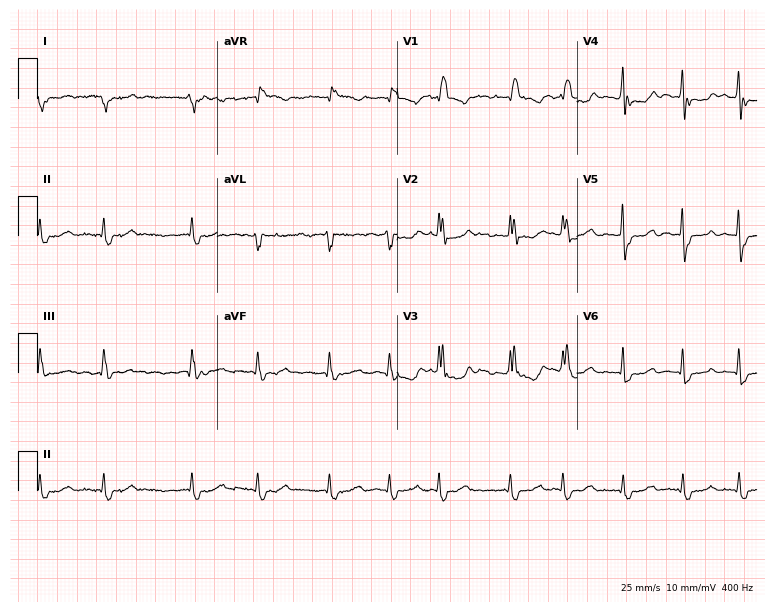
Resting 12-lead electrocardiogram. Patient: a 78-year-old female. None of these six findings is recorded: first-degree AV block, right bundle branch block, left bundle branch block, sinus bradycardia, atrial fibrillation, sinus tachycardia. Findings outside these six are not listed.